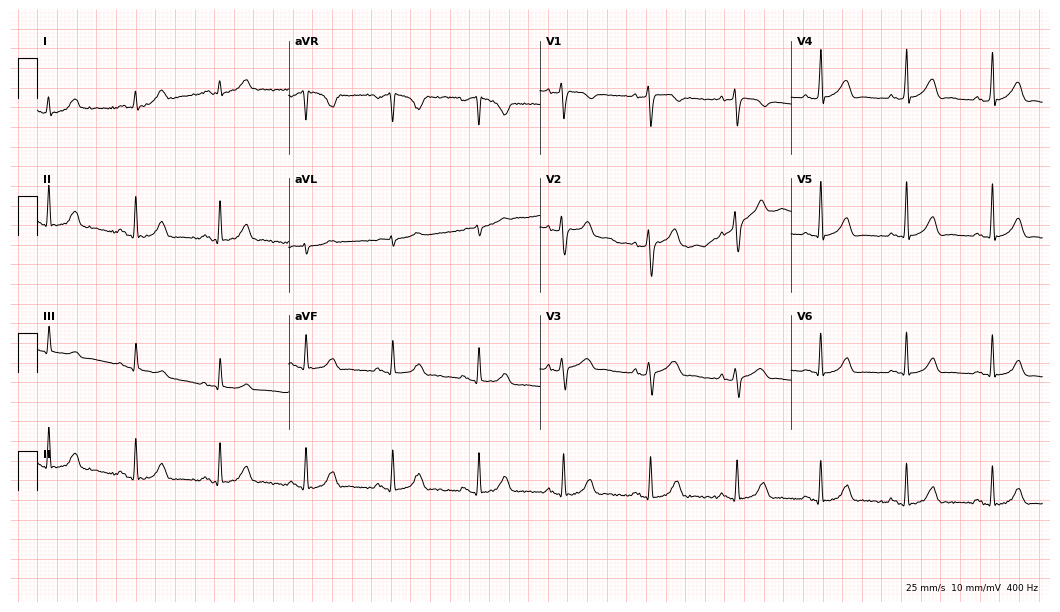
Resting 12-lead electrocardiogram (10.2-second recording at 400 Hz). Patient: a 36-year-old male. Read as a normal ECG.